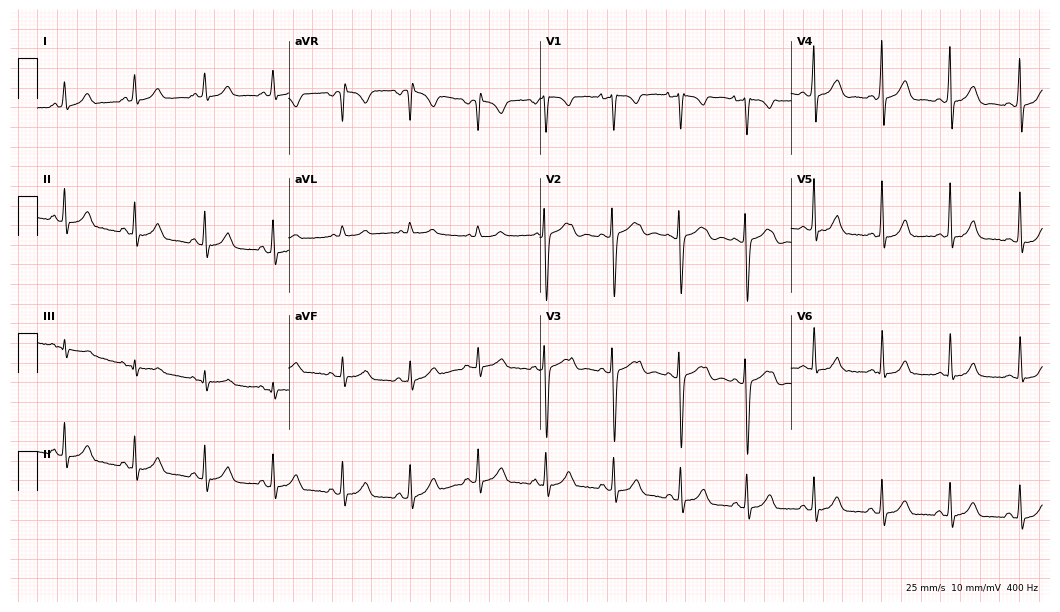
12-lead ECG from a 22-year-old female patient. Labelled as a normal ECG.